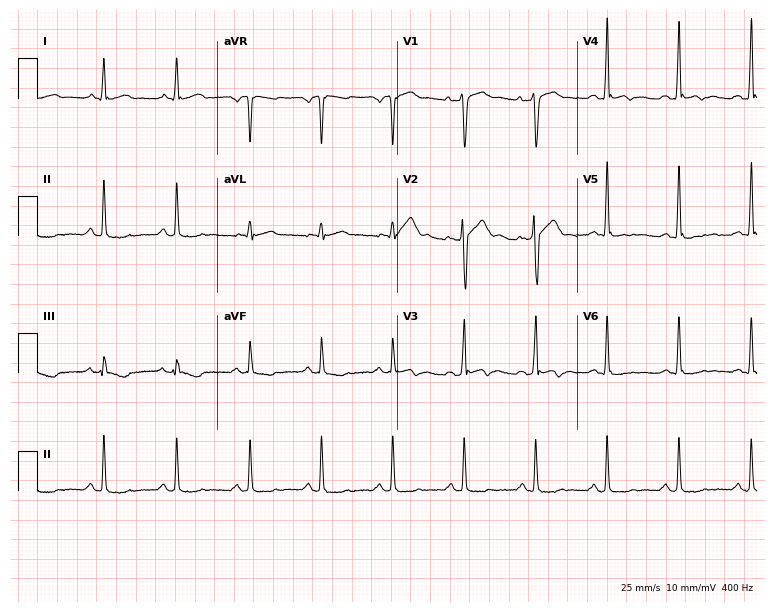
ECG (7.3-second recording at 400 Hz) — a 27-year-old male patient. Screened for six findings — first-degree AV block, right bundle branch block, left bundle branch block, sinus bradycardia, atrial fibrillation, sinus tachycardia — none is recorded.